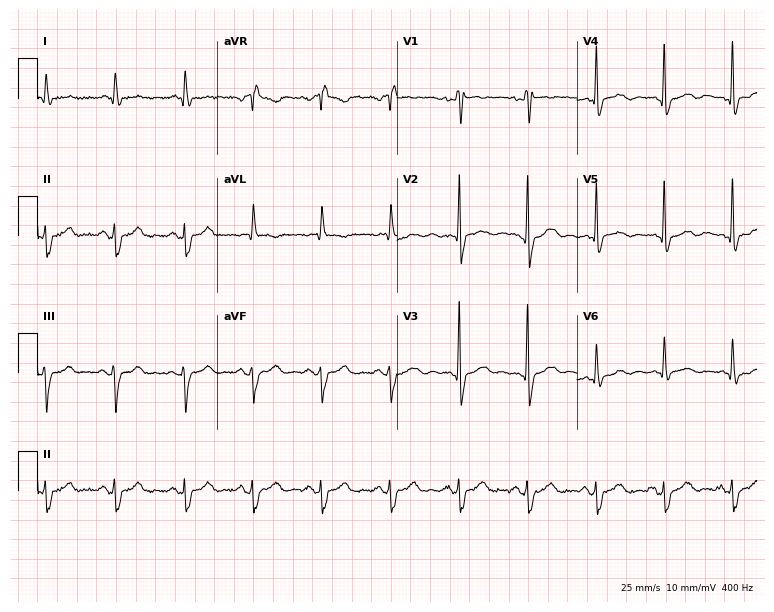
ECG (7.3-second recording at 400 Hz) — a 52-year-old male patient. Screened for six findings — first-degree AV block, right bundle branch block, left bundle branch block, sinus bradycardia, atrial fibrillation, sinus tachycardia — none is recorded.